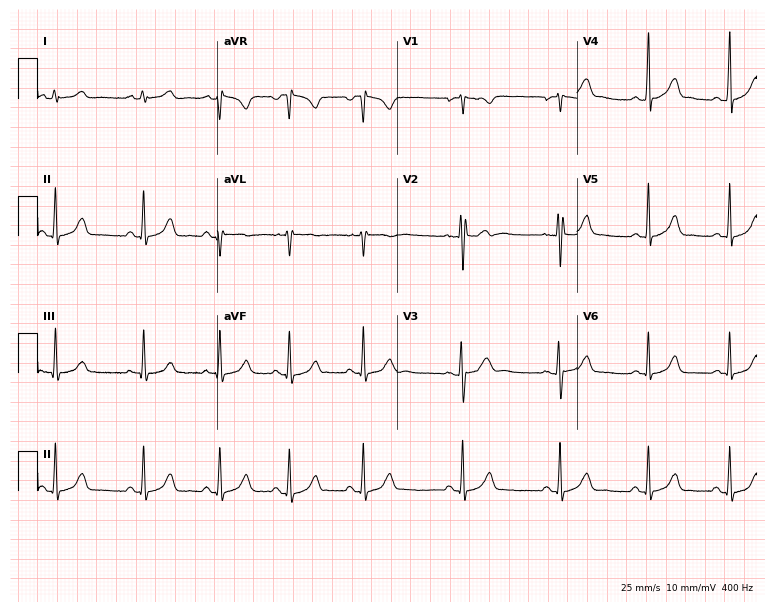
Resting 12-lead electrocardiogram. Patient: an 18-year-old female. Read as a normal ECG.